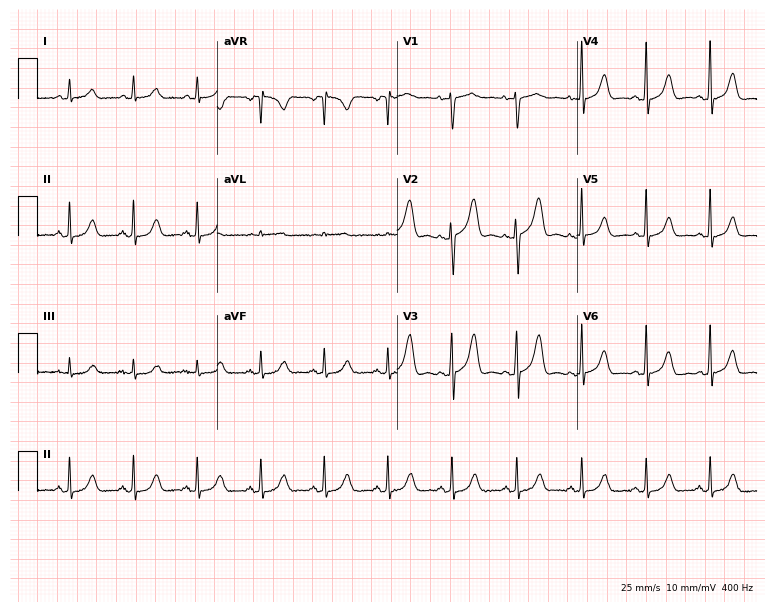
Standard 12-lead ECG recorded from a 60-year-old female (7.3-second recording at 400 Hz). Read as a normal ECG.